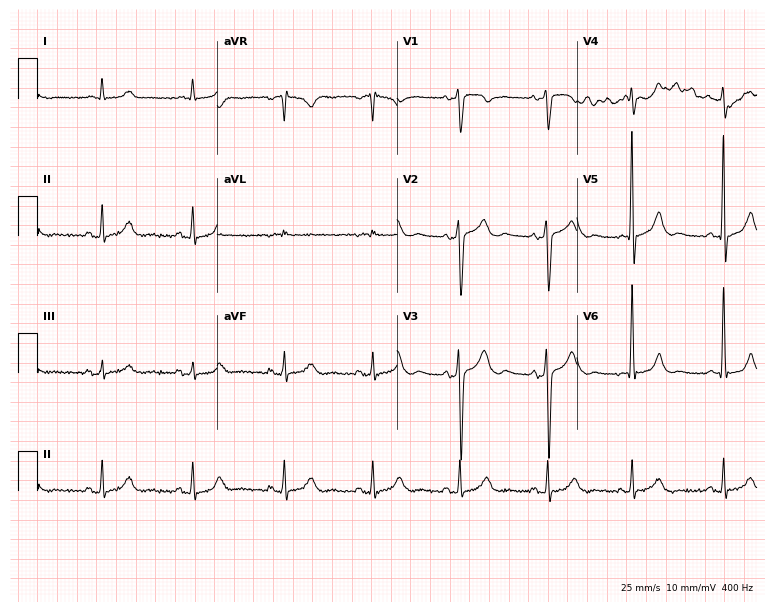
ECG (7.3-second recording at 400 Hz) — a male, 69 years old. Labelled as a normal ECG.